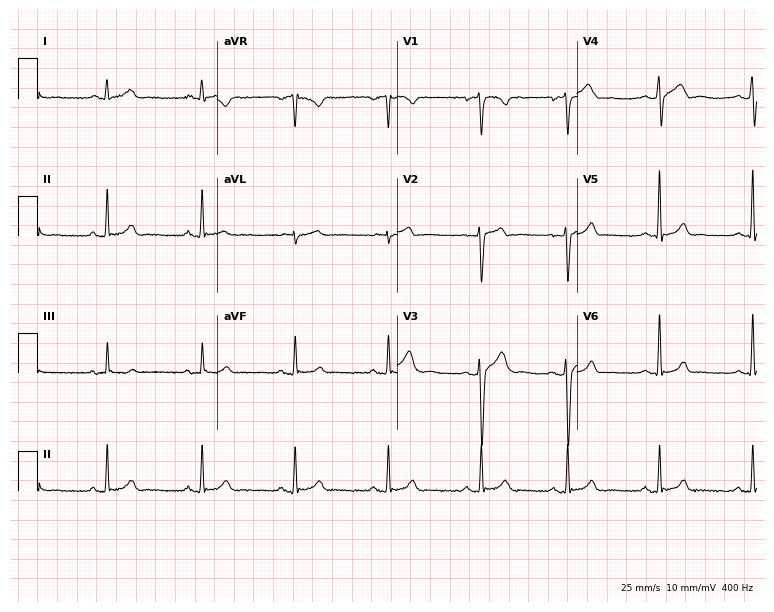
Electrocardiogram, a 25-year-old male. Overall reading on record: normal ECG.